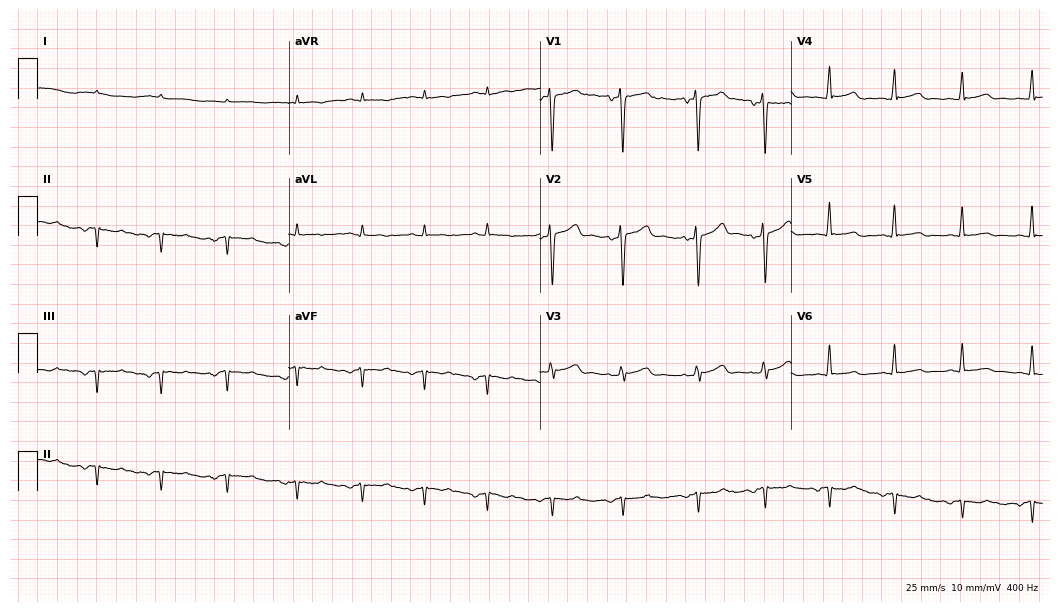
Electrocardiogram (10.2-second recording at 400 Hz), a 33-year-old female. Of the six screened findings (first-degree AV block, right bundle branch block, left bundle branch block, sinus bradycardia, atrial fibrillation, sinus tachycardia), none is recorded. Only these six findings were labelled.